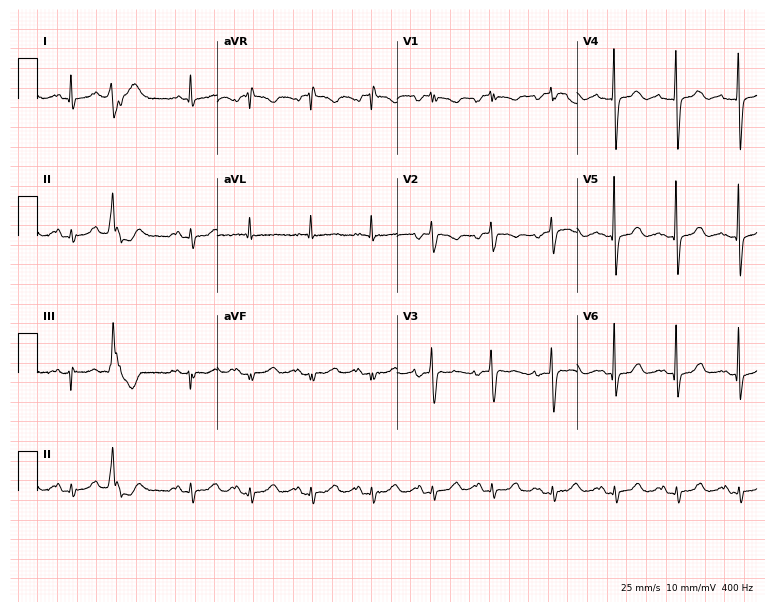
12-lead ECG from a female patient, 81 years old. No first-degree AV block, right bundle branch block, left bundle branch block, sinus bradycardia, atrial fibrillation or sinus tachycardia recorded for this tracing.